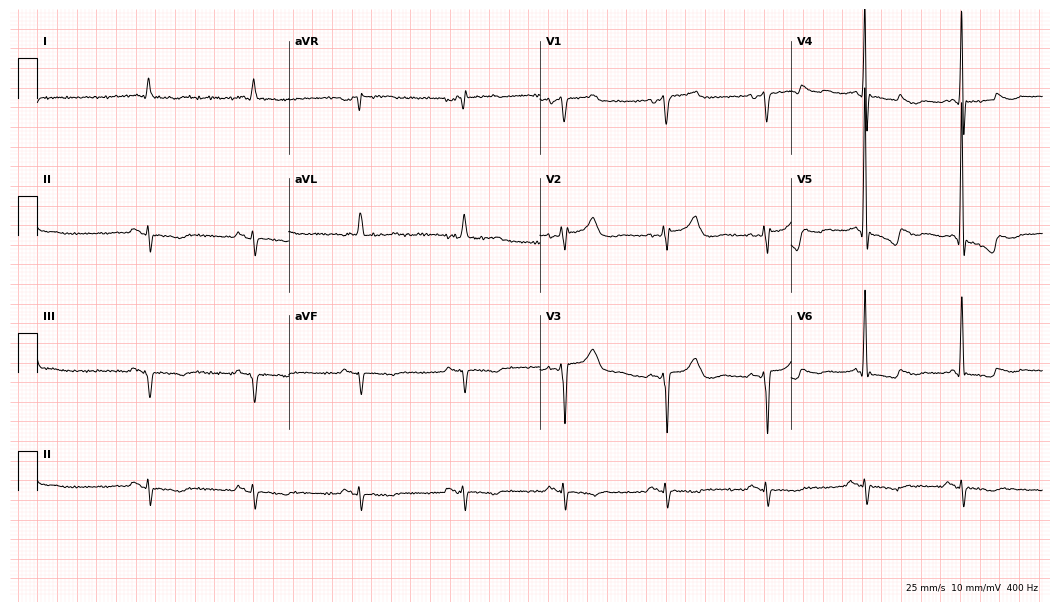
12-lead ECG from a 77-year-old male. Screened for six findings — first-degree AV block, right bundle branch block, left bundle branch block, sinus bradycardia, atrial fibrillation, sinus tachycardia — none is recorded.